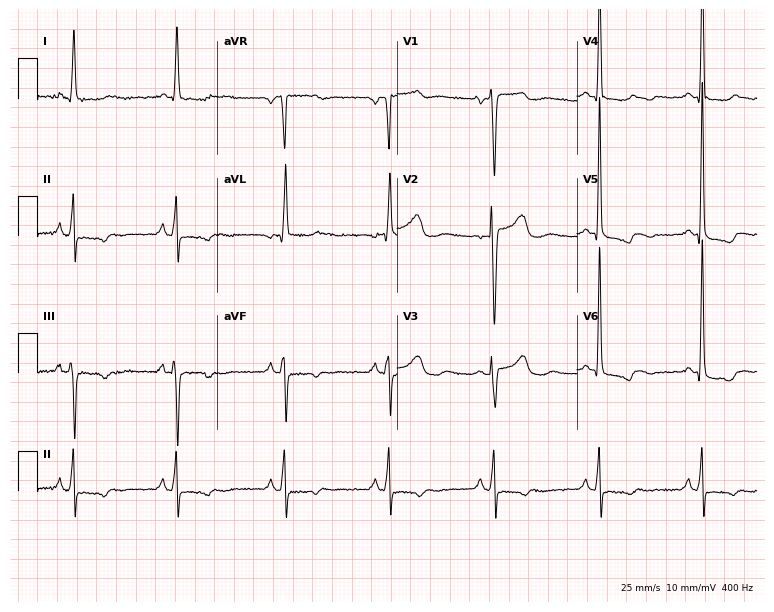
ECG — an 87-year-old female patient. Screened for six findings — first-degree AV block, right bundle branch block, left bundle branch block, sinus bradycardia, atrial fibrillation, sinus tachycardia — none is recorded.